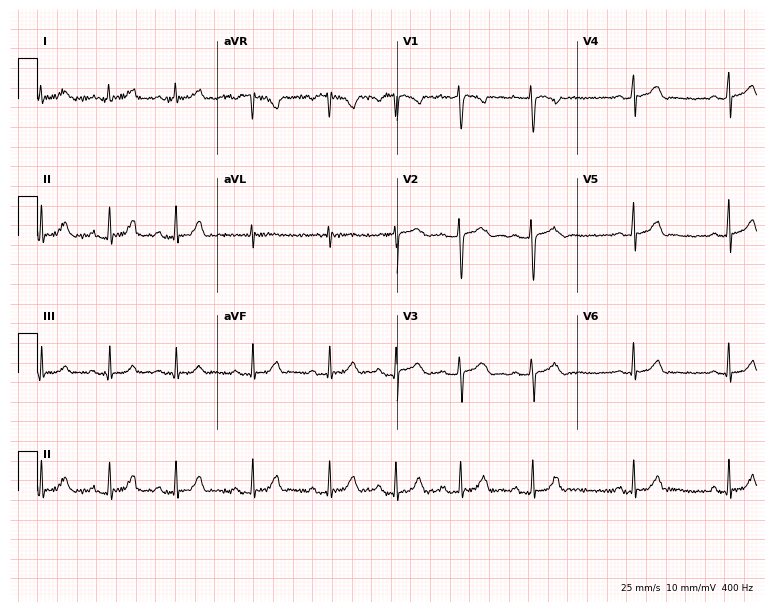
Electrocardiogram, a 20-year-old female. Overall reading on record: normal ECG.